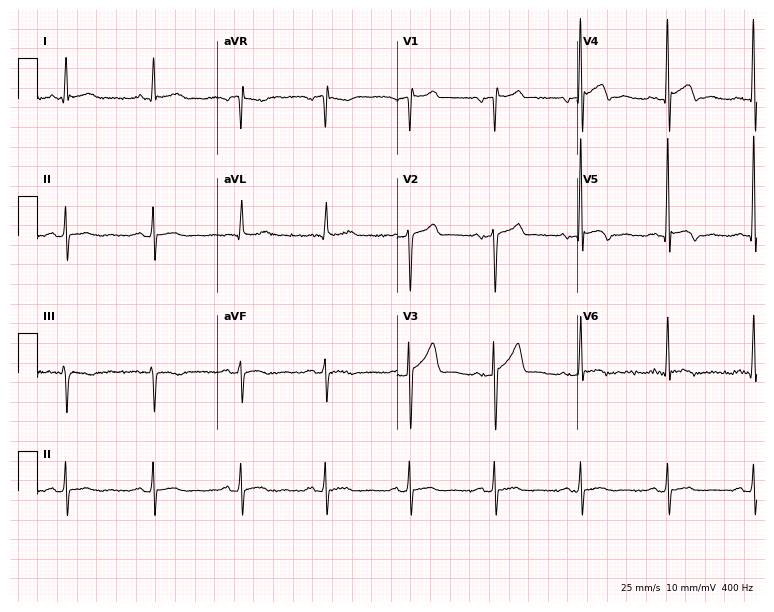
Resting 12-lead electrocardiogram (7.3-second recording at 400 Hz). Patient: a 44-year-old male. None of these six findings is recorded: first-degree AV block, right bundle branch block, left bundle branch block, sinus bradycardia, atrial fibrillation, sinus tachycardia.